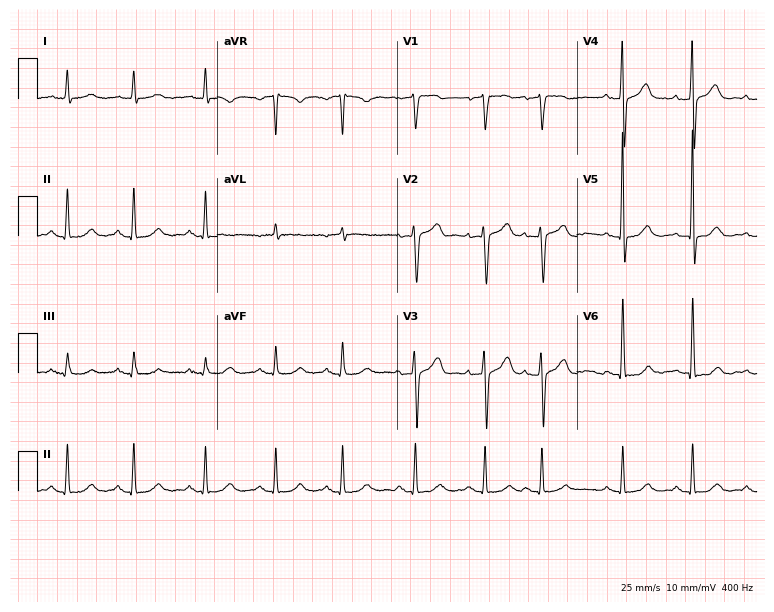
12-lead ECG from a male patient, 74 years old. No first-degree AV block, right bundle branch block (RBBB), left bundle branch block (LBBB), sinus bradycardia, atrial fibrillation (AF) or sinus tachycardia recorded for this tracing. Only these six findings were labelled.